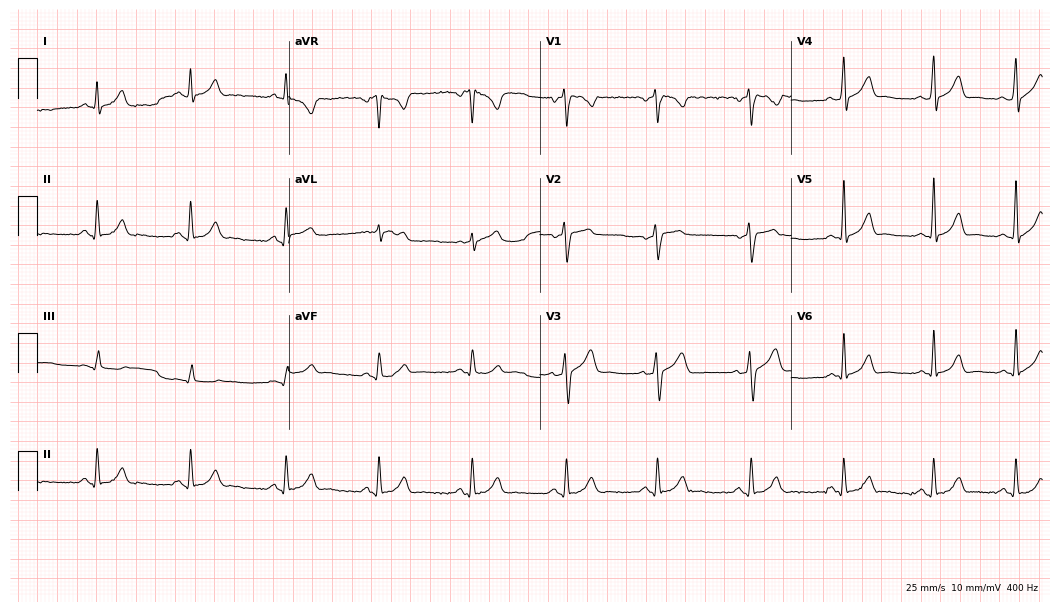
Electrocardiogram (10.2-second recording at 400 Hz), a 31-year-old man. Of the six screened findings (first-degree AV block, right bundle branch block, left bundle branch block, sinus bradycardia, atrial fibrillation, sinus tachycardia), none is recorded. Only these six findings were labelled.